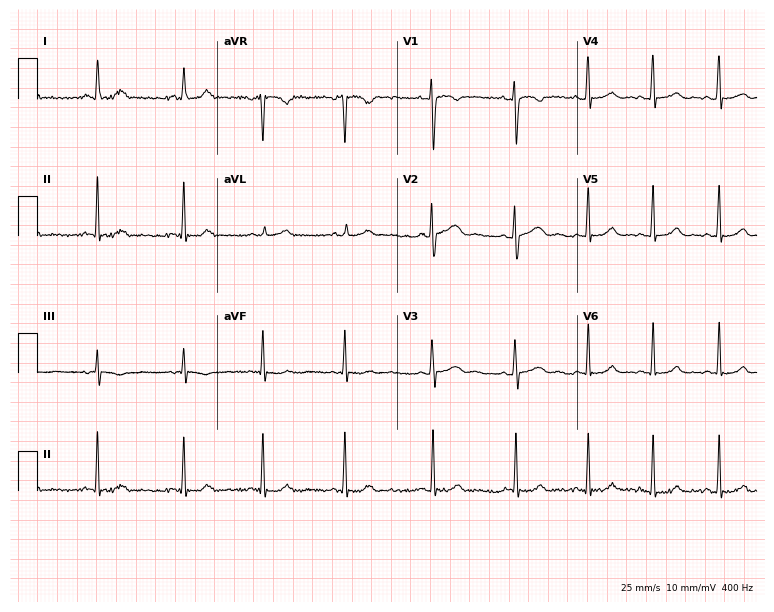
Electrocardiogram, a female patient, 29 years old. Of the six screened findings (first-degree AV block, right bundle branch block (RBBB), left bundle branch block (LBBB), sinus bradycardia, atrial fibrillation (AF), sinus tachycardia), none is recorded.